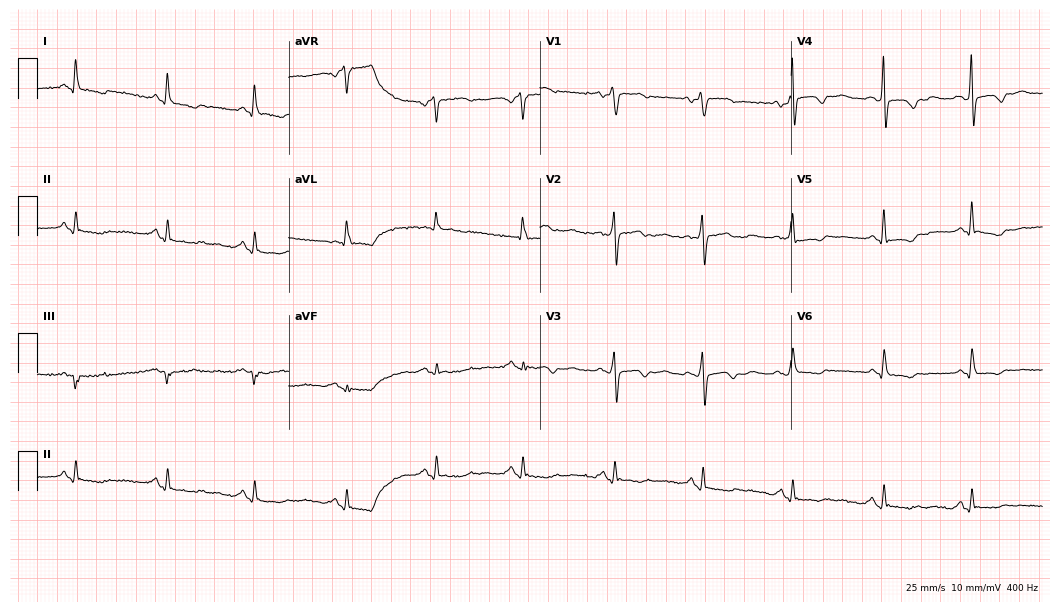
ECG (10.2-second recording at 400 Hz) — a female, 66 years old. Labelled as a normal ECG.